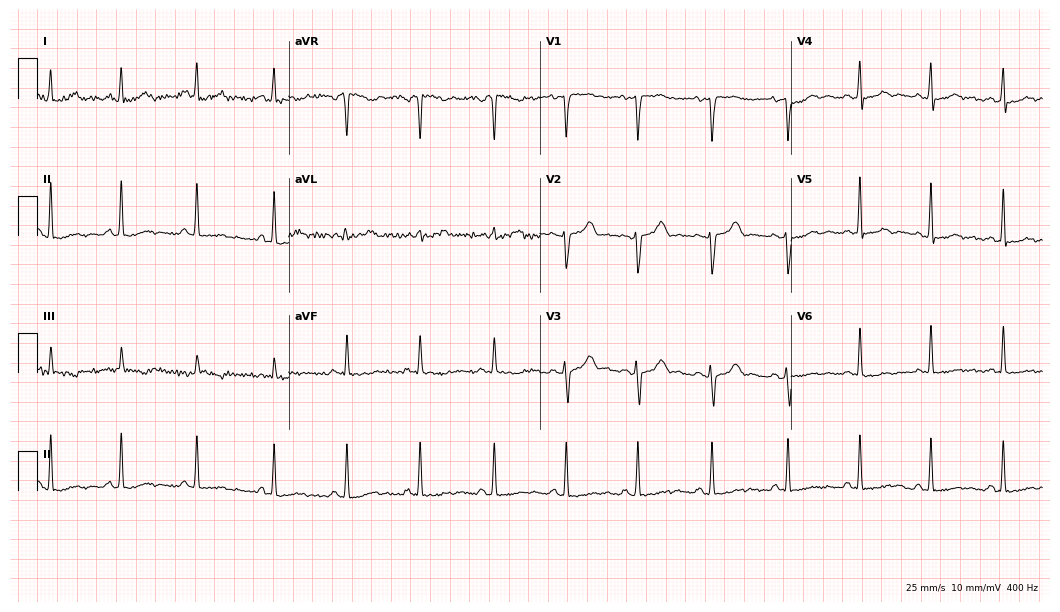
Electrocardiogram, a 29-year-old woman. Overall reading on record: normal ECG.